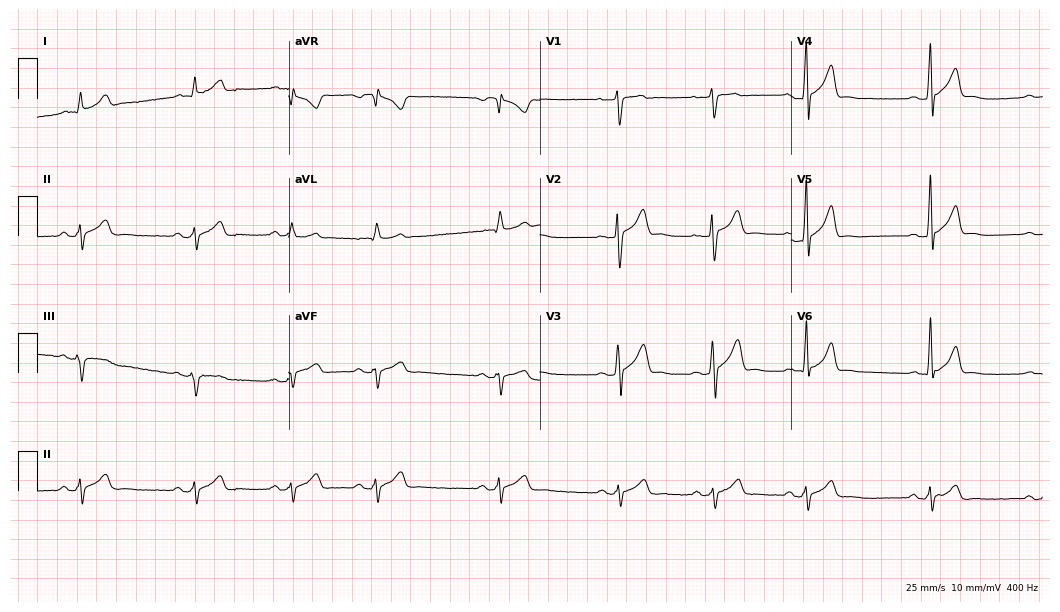
Electrocardiogram (10.2-second recording at 400 Hz), a male, 19 years old. Of the six screened findings (first-degree AV block, right bundle branch block, left bundle branch block, sinus bradycardia, atrial fibrillation, sinus tachycardia), none is recorded.